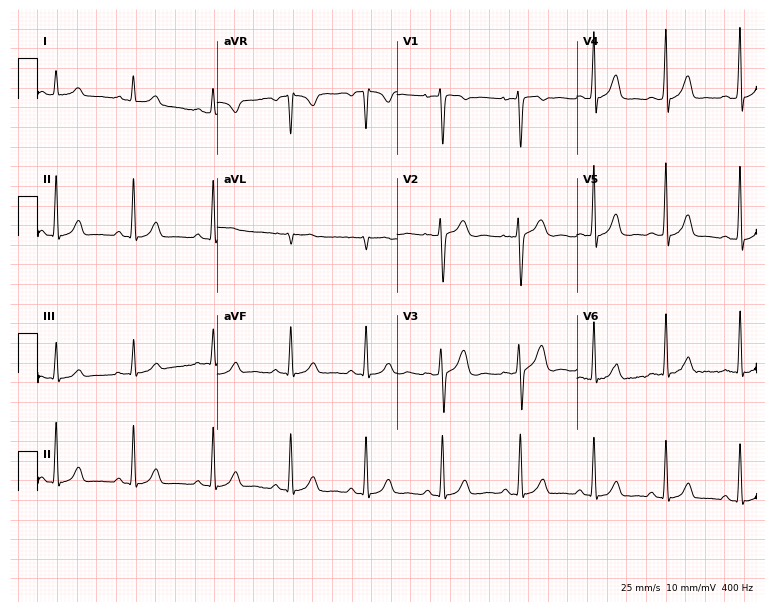
12-lead ECG from a 26-year-old woman (7.3-second recording at 400 Hz). No first-degree AV block, right bundle branch block, left bundle branch block, sinus bradycardia, atrial fibrillation or sinus tachycardia recorded for this tracing. Only these six findings were labelled.